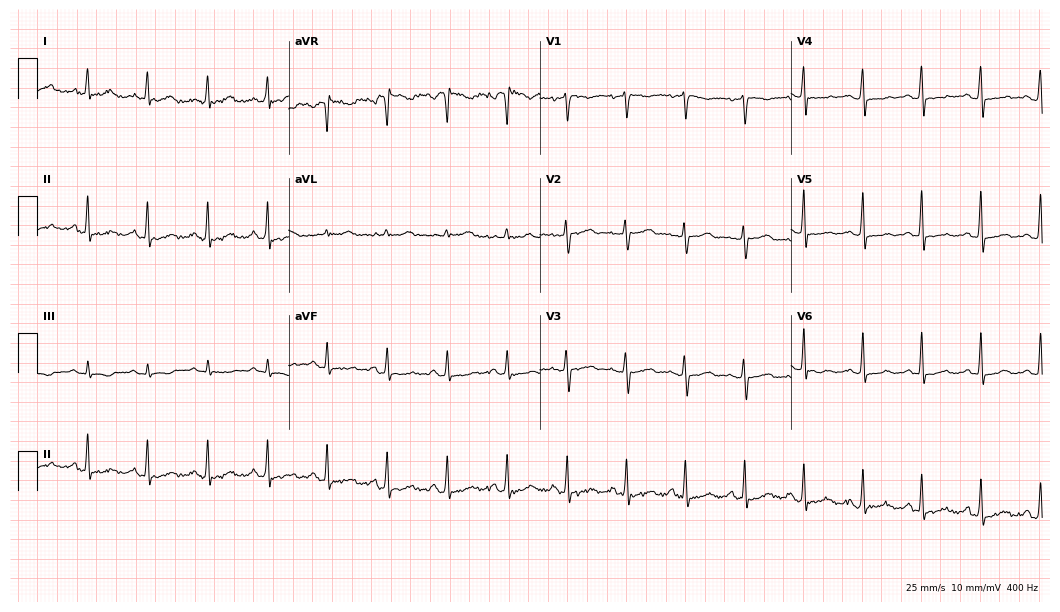
Electrocardiogram, a 50-year-old woman. Of the six screened findings (first-degree AV block, right bundle branch block, left bundle branch block, sinus bradycardia, atrial fibrillation, sinus tachycardia), none is recorded. Findings outside these six are not listed.